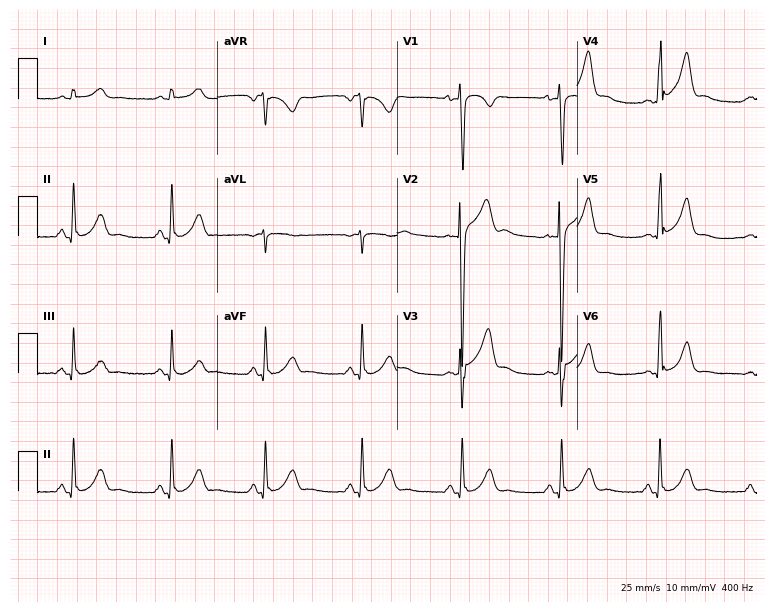
12-lead ECG (7.3-second recording at 400 Hz) from a man, 32 years old. Screened for six findings — first-degree AV block, right bundle branch block (RBBB), left bundle branch block (LBBB), sinus bradycardia, atrial fibrillation (AF), sinus tachycardia — none is recorded.